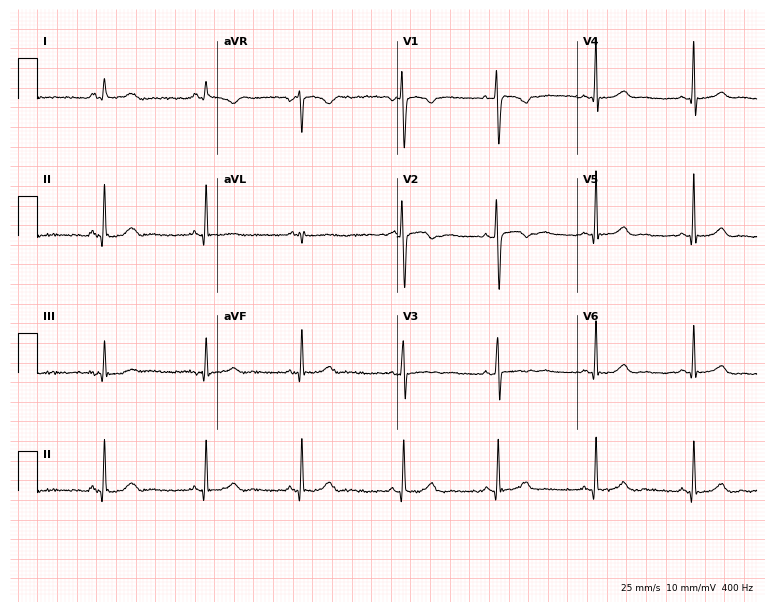
12-lead ECG from a woman, 26 years old. Screened for six findings — first-degree AV block, right bundle branch block, left bundle branch block, sinus bradycardia, atrial fibrillation, sinus tachycardia — none is recorded. Findings outside these six are not listed.